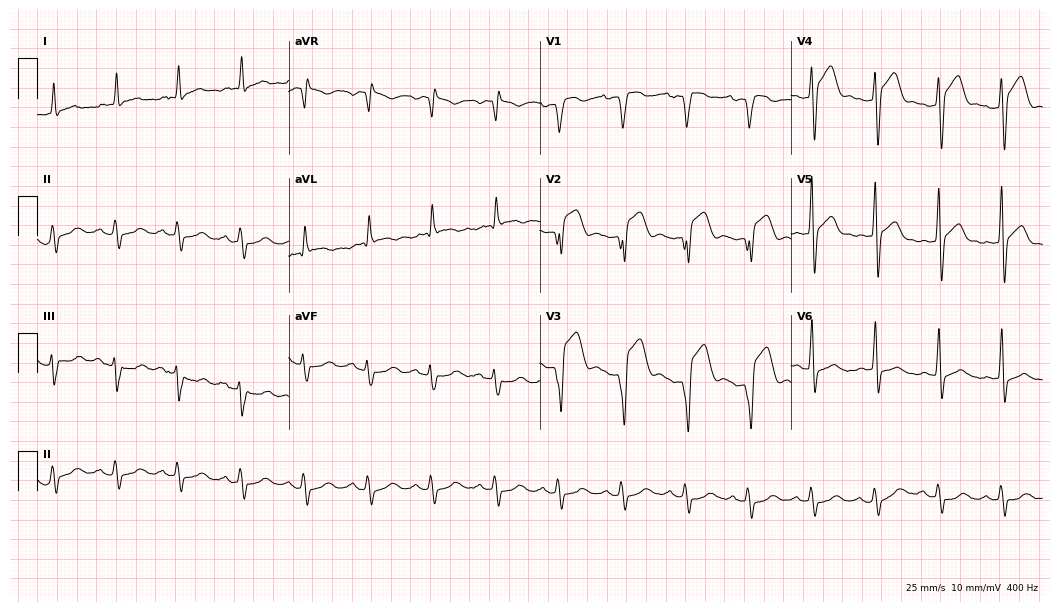
Electrocardiogram, an 83-year-old woman. Of the six screened findings (first-degree AV block, right bundle branch block, left bundle branch block, sinus bradycardia, atrial fibrillation, sinus tachycardia), none is recorded. Only these six findings were labelled.